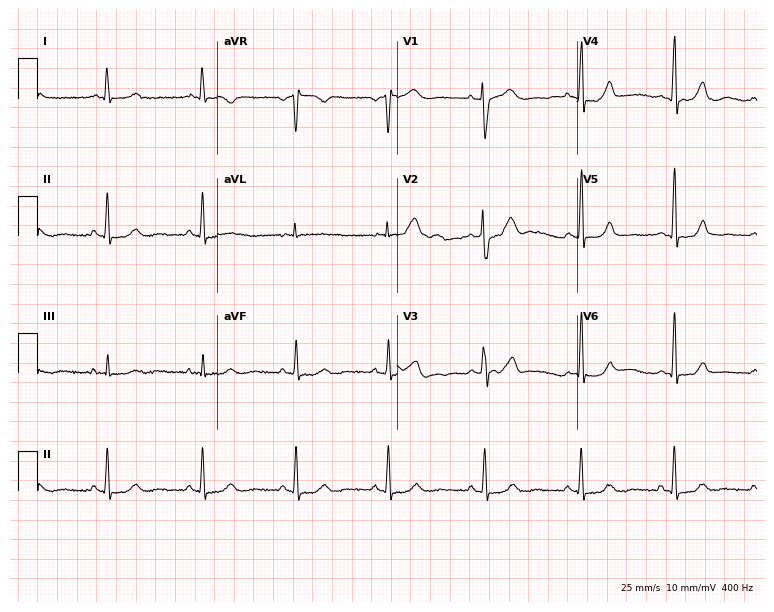
Standard 12-lead ECG recorded from a woman, 49 years old (7.3-second recording at 400 Hz). Read as a normal ECG.